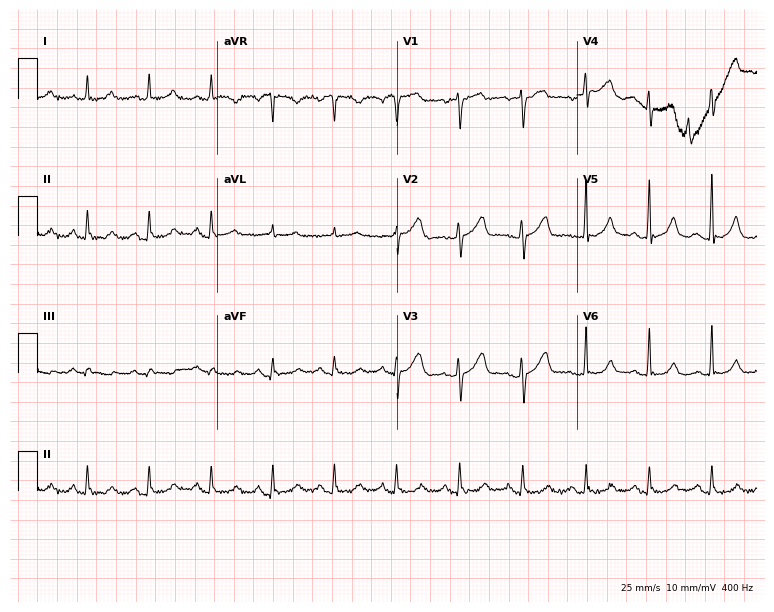
ECG (7.3-second recording at 400 Hz) — a female, 76 years old. Labelled as a normal ECG.